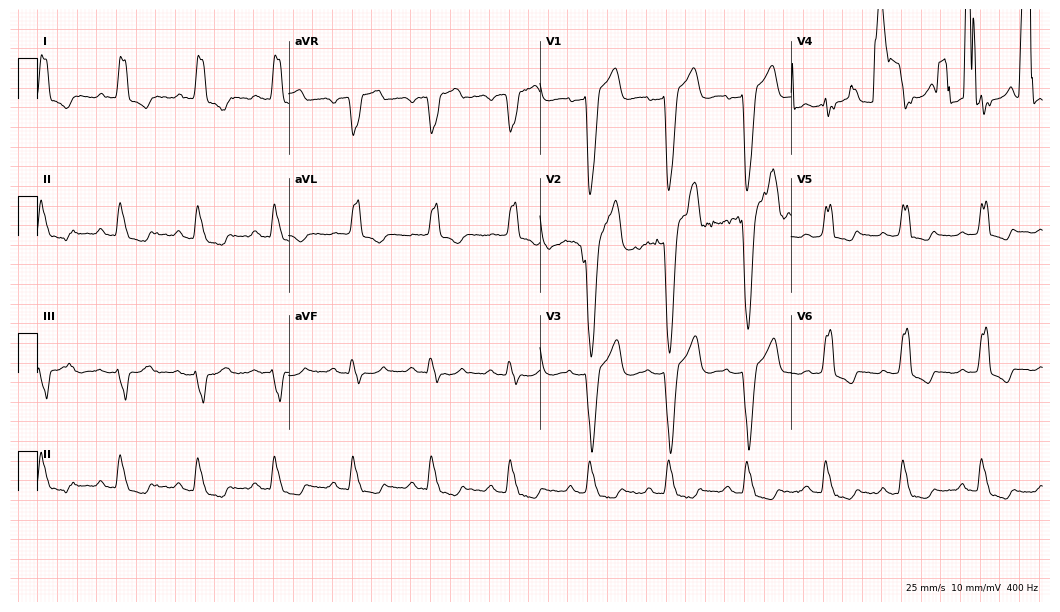
ECG — a male, 56 years old. Findings include first-degree AV block, left bundle branch block (LBBB).